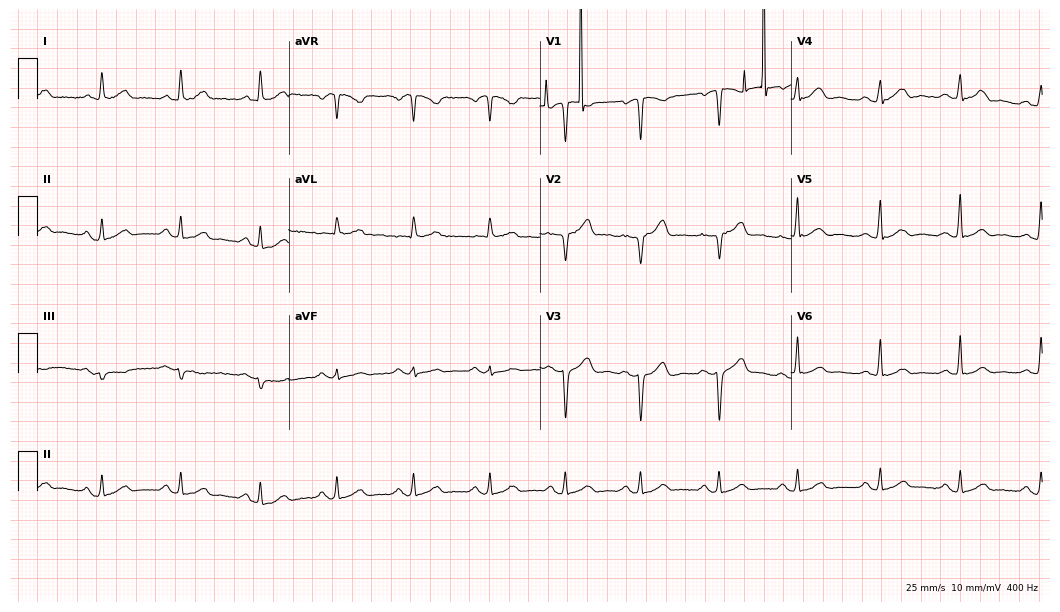
12-lead ECG (10.2-second recording at 400 Hz) from a 52-year-old man. Labelled as a normal ECG.